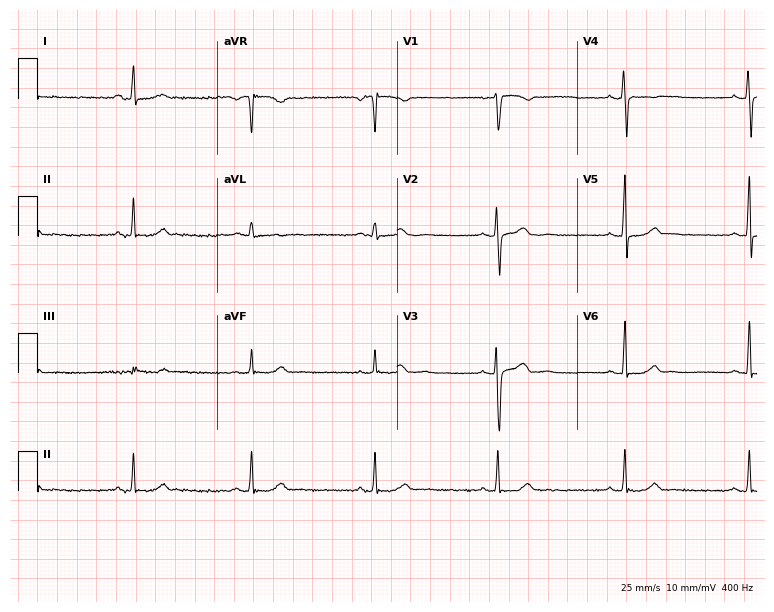
12-lead ECG from a woman, 18 years old. Findings include sinus bradycardia (a sinus rate of 50 beats per minute or less).